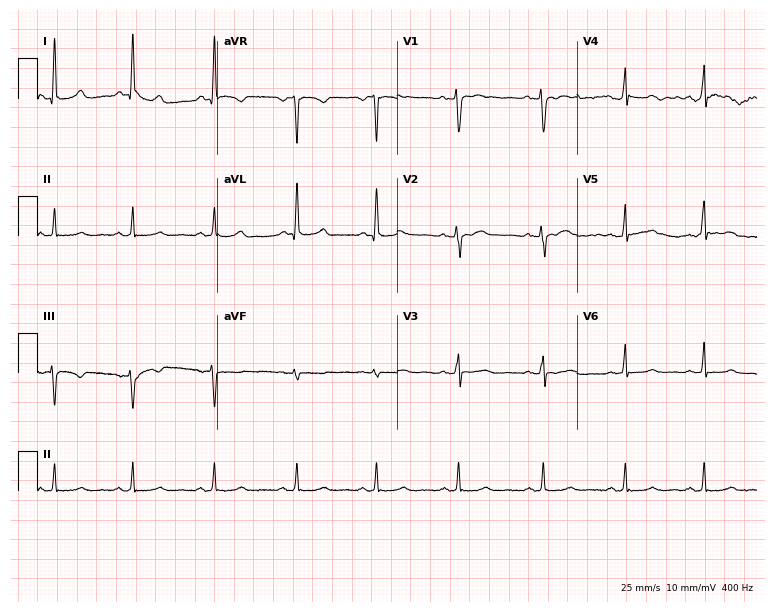
ECG (7.3-second recording at 400 Hz) — a female, 43 years old. Screened for six findings — first-degree AV block, right bundle branch block (RBBB), left bundle branch block (LBBB), sinus bradycardia, atrial fibrillation (AF), sinus tachycardia — none is recorded. Findings outside these six are not listed.